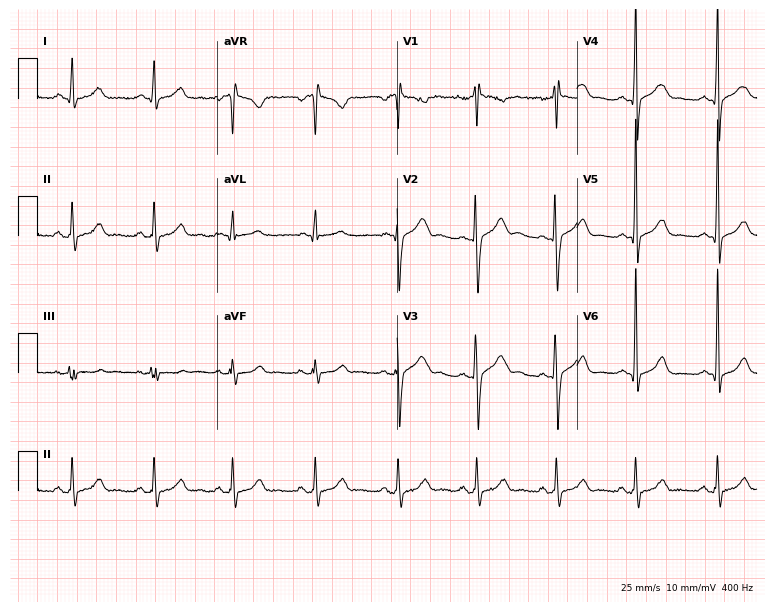
Standard 12-lead ECG recorded from a male, 18 years old. None of these six findings is recorded: first-degree AV block, right bundle branch block (RBBB), left bundle branch block (LBBB), sinus bradycardia, atrial fibrillation (AF), sinus tachycardia.